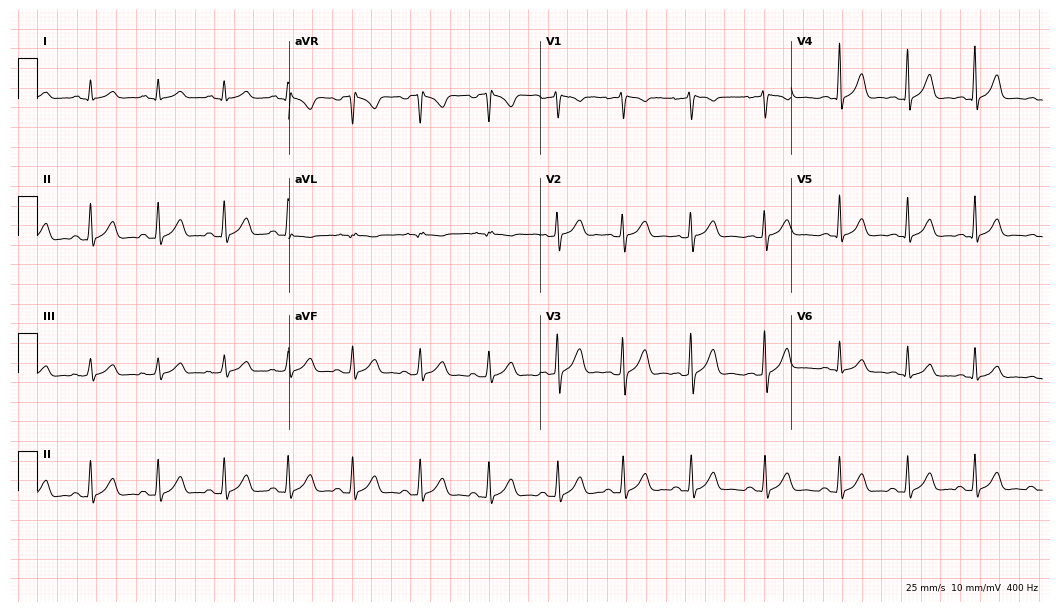
Electrocardiogram (10.2-second recording at 400 Hz), a woman, 21 years old. Overall reading on record: normal ECG.